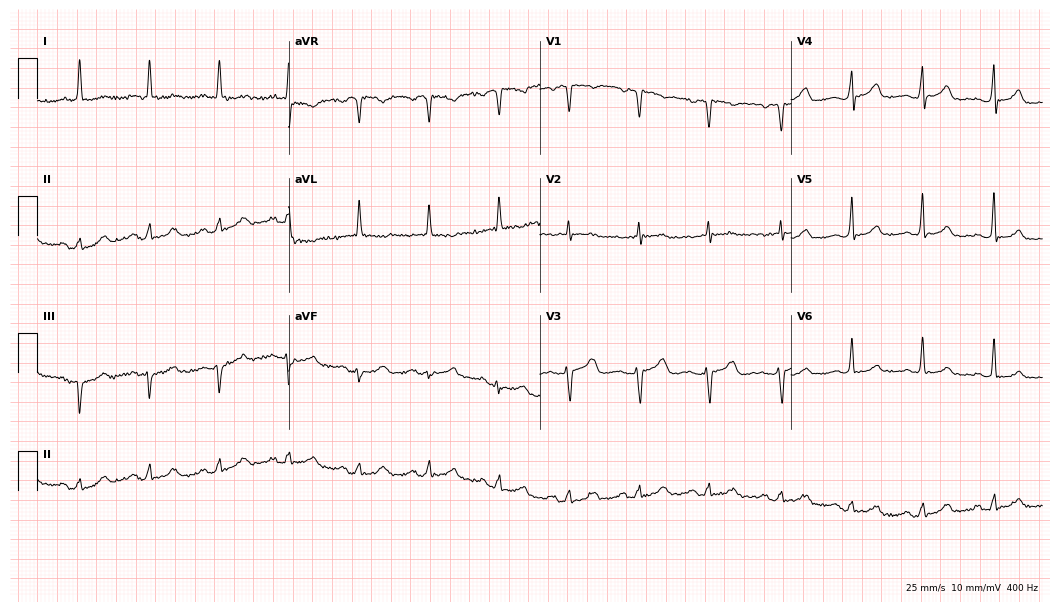
12-lead ECG from a 71-year-old female. No first-degree AV block, right bundle branch block (RBBB), left bundle branch block (LBBB), sinus bradycardia, atrial fibrillation (AF) or sinus tachycardia recorded for this tracing.